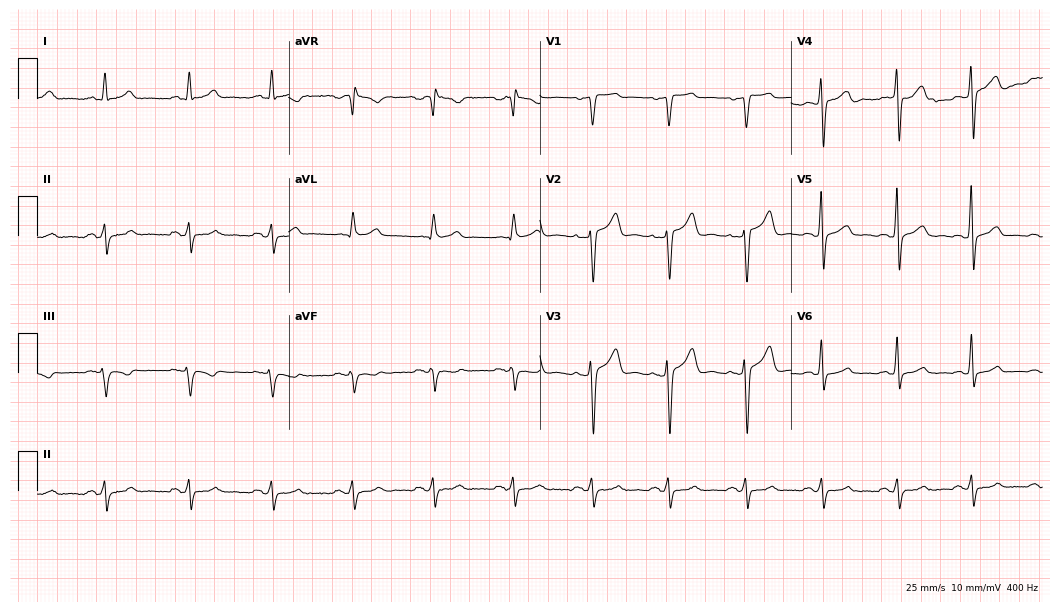
Standard 12-lead ECG recorded from a man, 36 years old (10.2-second recording at 400 Hz). None of these six findings is recorded: first-degree AV block, right bundle branch block, left bundle branch block, sinus bradycardia, atrial fibrillation, sinus tachycardia. Other findings, if any, are not listed.